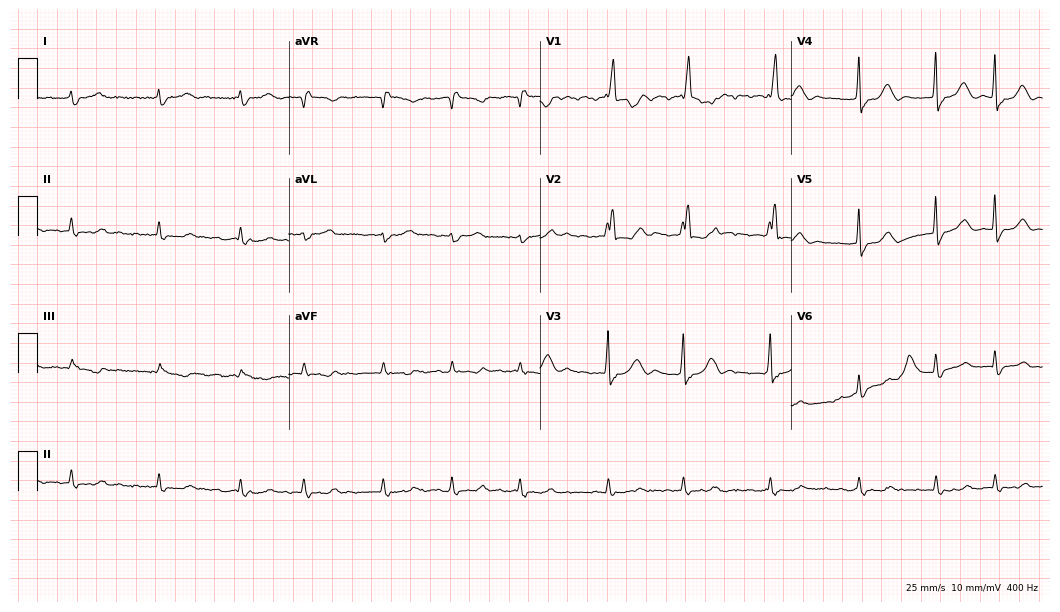
Resting 12-lead electrocardiogram. Patient: an 84-year-old female. The tracing shows right bundle branch block, atrial fibrillation.